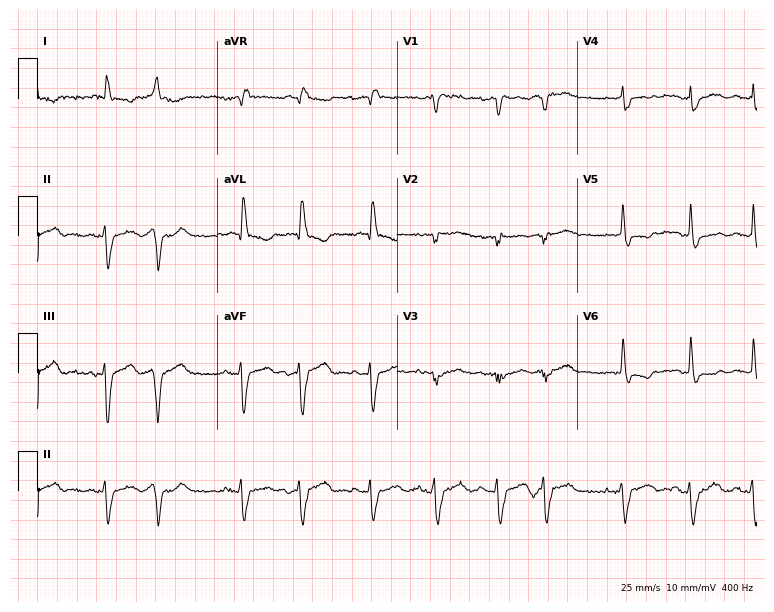
12-lead ECG from a 75-year-old man (7.3-second recording at 400 Hz). No first-degree AV block, right bundle branch block, left bundle branch block, sinus bradycardia, atrial fibrillation or sinus tachycardia recorded for this tracing. Only these six findings were labelled.